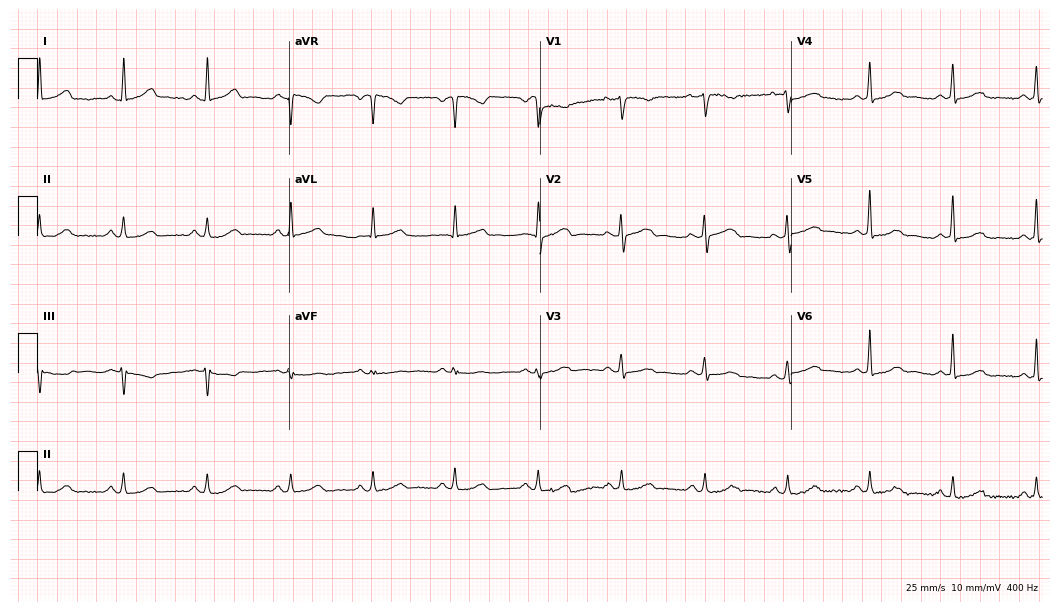
Standard 12-lead ECG recorded from a 57-year-old female (10.2-second recording at 400 Hz). Read as a normal ECG.